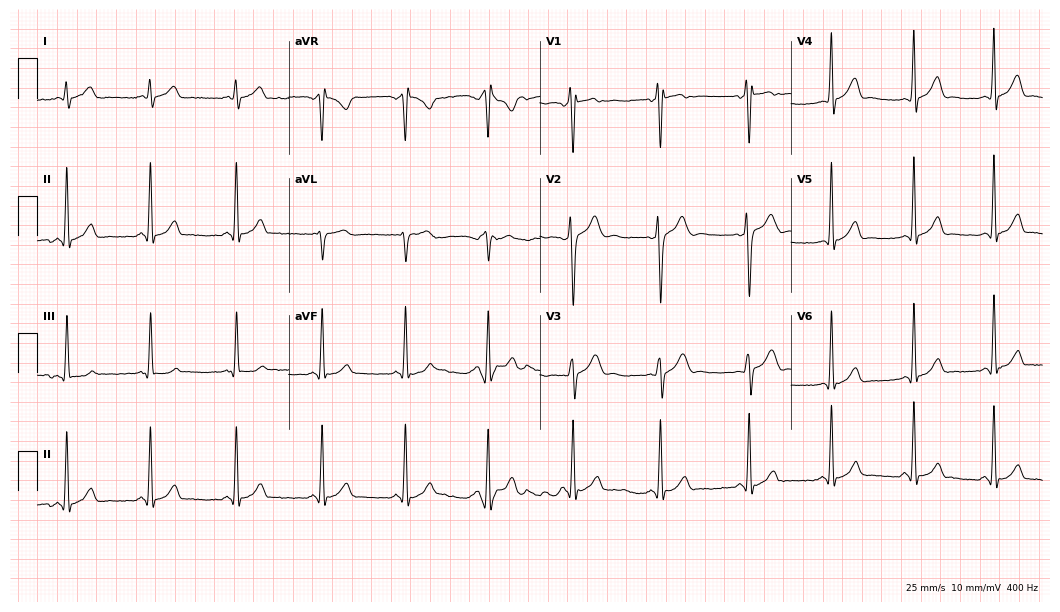
12-lead ECG (10.2-second recording at 400 Hz) from a man, 20 years old. Screened for six findings — first-degree AV block, right bundle branch block, left bundle branch block, sinus bradycardia, atrial fibrillation, sinus tachycardia — none is recorded. Findings outside these six are not listed.